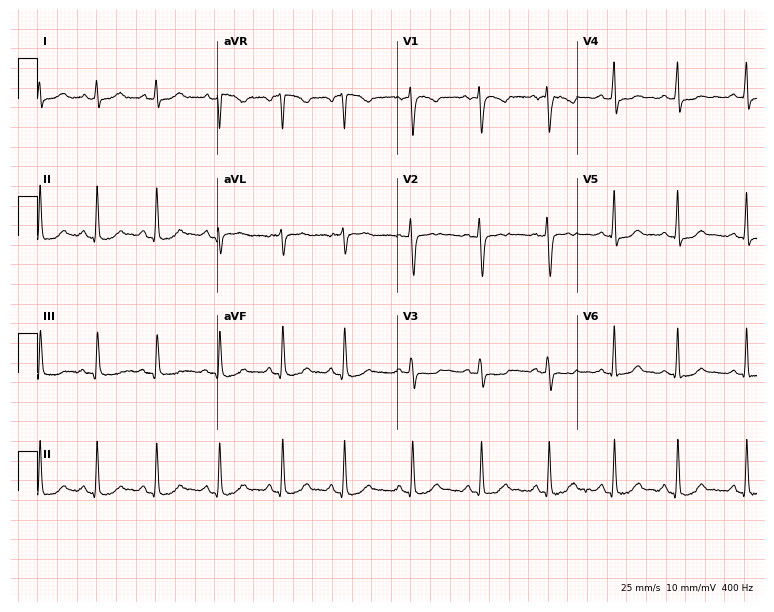
Resting 12-lead electrocardiogram. Patient: a 30-year-old female. Read as a normal ECG.